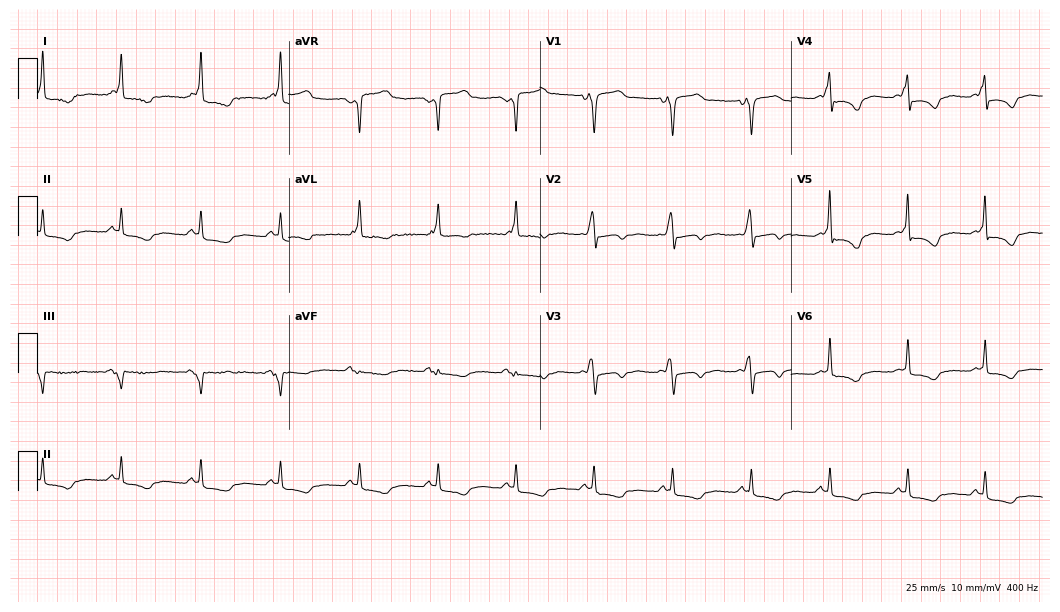
12-lead ECG from a 62-year-old female. Screened for six findings — first-degree AV block, right bundle branch block, left bundle branch block, sinus bradycardia, atrial fibrillation, sinus tachycardia — none is recorded.